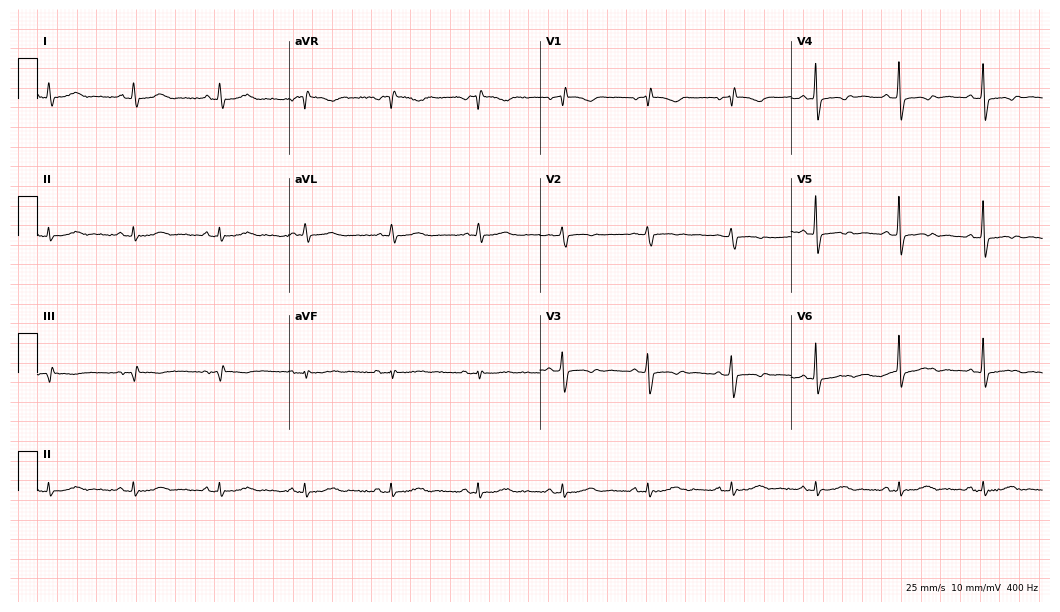
ECG — a 63-year-old female. Screened for six findings — first-degree AV block, right bundle branch block, left bundle branch block, sinus bradycardia, atrial fibrillation, sinus tachycardia — none is recorded. Only these six findings were labelled.